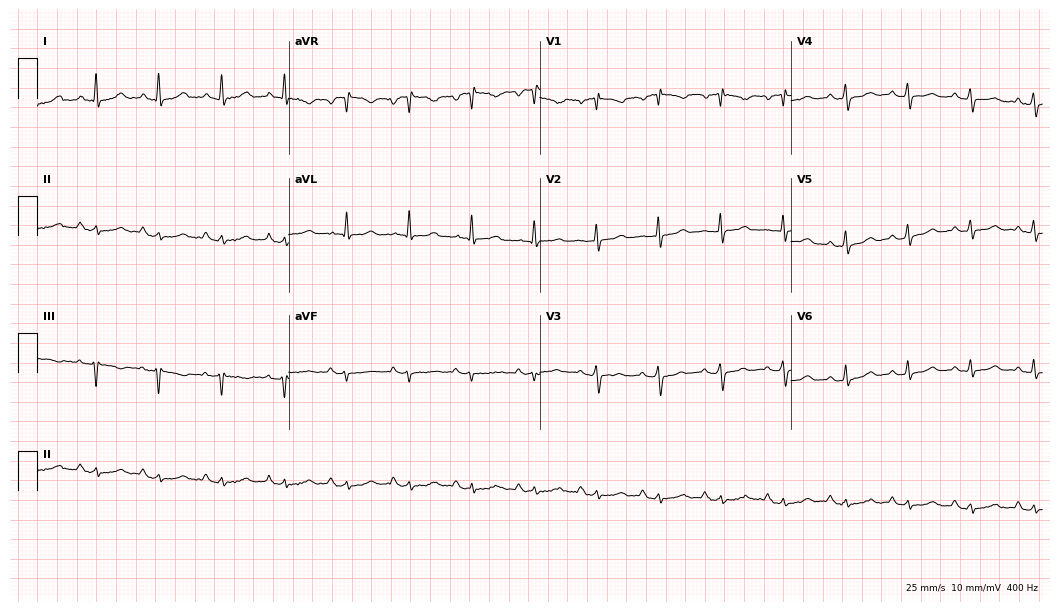
ECG (10.2-second recording at 400 Hz) — a 66-year-old woman. Labelled as a normal ECG.